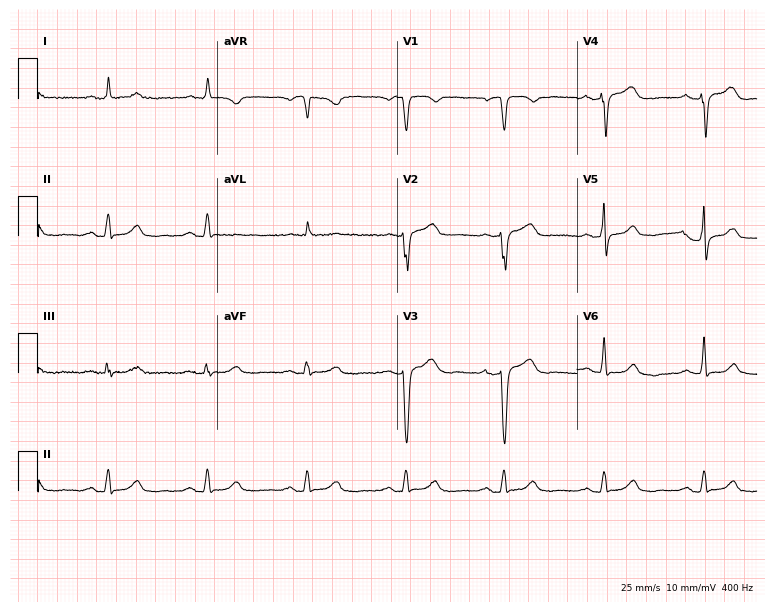
Electrocardiogram, a 67-year-old male patient. Of the six screened findings (first-degree AV block, right bundle branch block, left bundle branch block, sinus bradycardia, atrial fibrillation, sinus tachycardia), none is recorded.